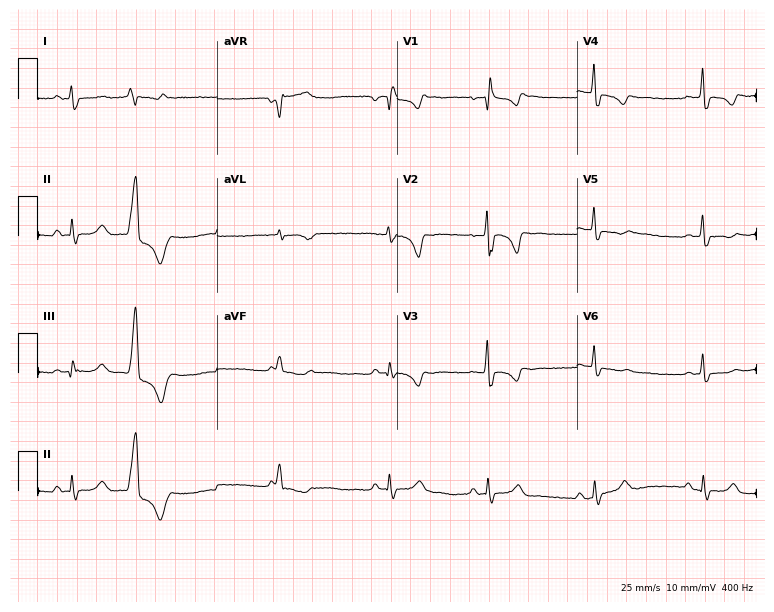
12-lead ECG (7.3-second recording at 400 Hz) from a 34-year-old female patient. Findings include right bundle branch block (RBBB).